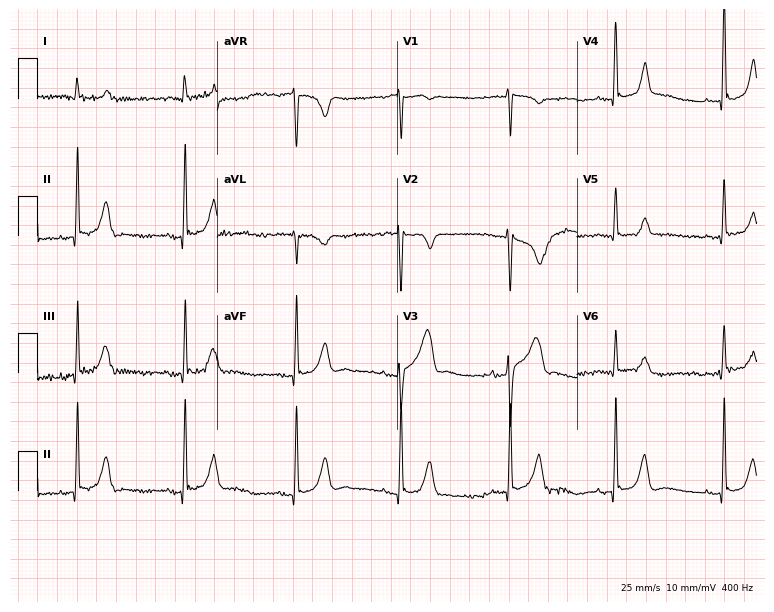
Electrocardiogram (7.3-second recording at 400 Hz), a 51-year-old man. Overall reading on record: normal ECG.